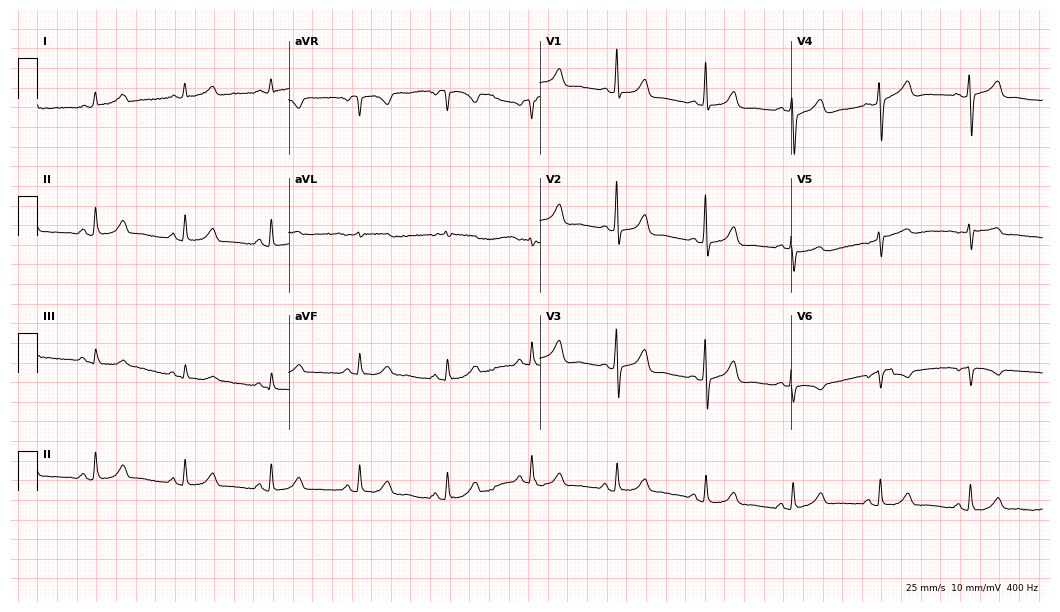
Resting 12-lead electrocardiogram. Patient: a 73-year-old woman. None of these six findings is recorded: first-degree AV block, right bundle branch block, left bundle branch block, sinus bradycardia, atrial fibrillation, sinus tachycardia.